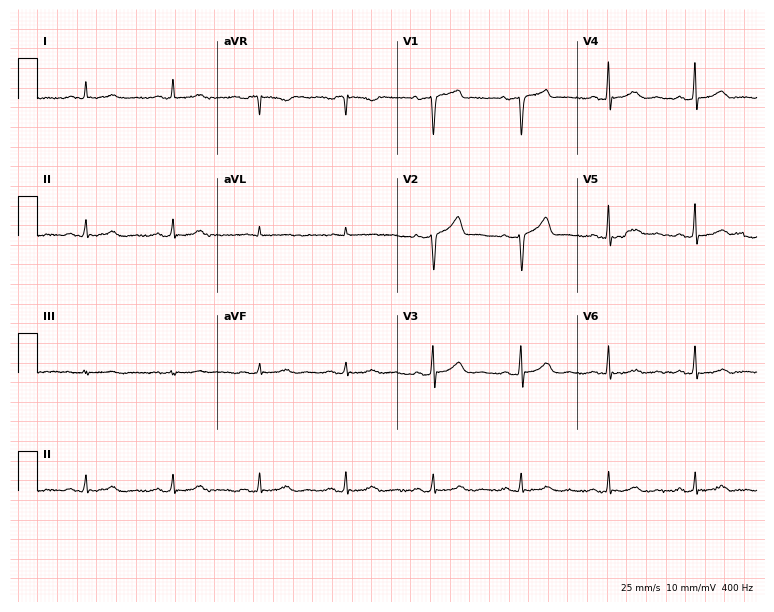
Electrocardiogram, a 57-year-old male. Overall reading on record: normal ECG.